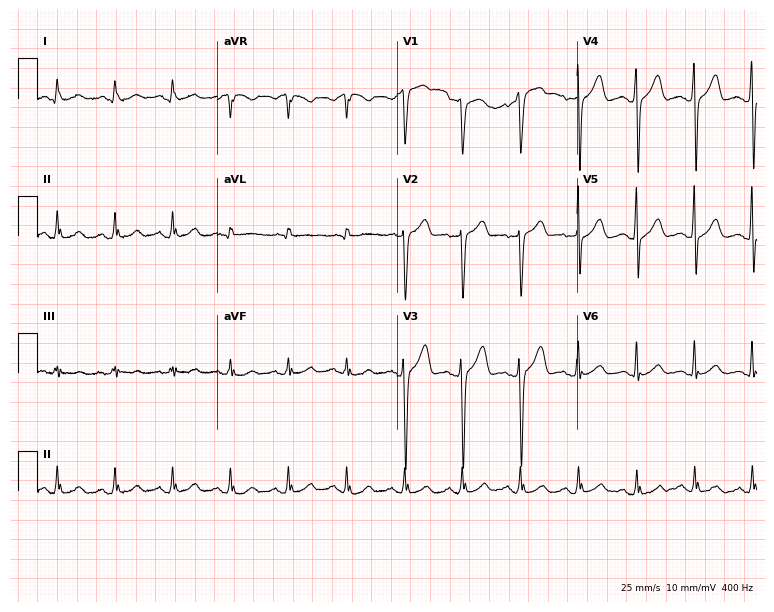
12-lead ECG from a 45-year-old male patient. Shows sinus tachycardia (a sinus rate of 100 beats per minute or more).